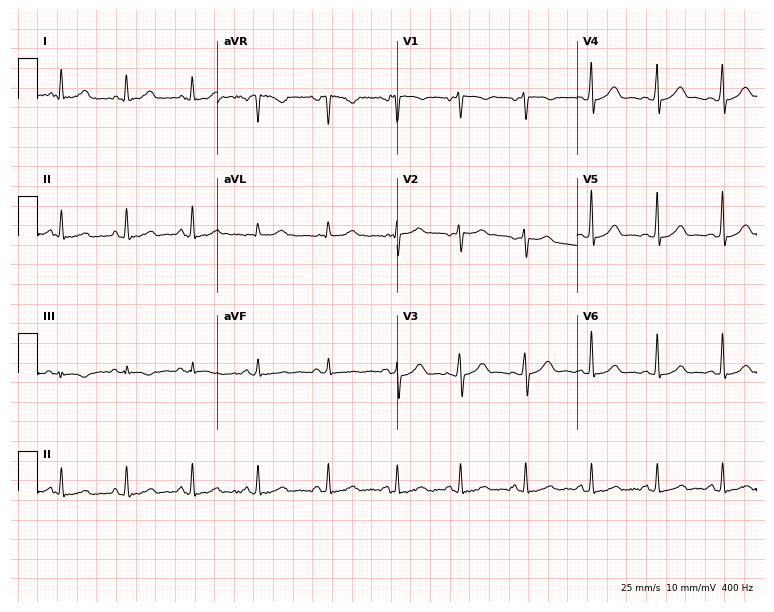
12-lead ECG from a female, 45 years old. Screened for six findings — first-degree AV block, right bundle branch block (RBBB), left bundle branch block (LBBB), sinus bradycardia, atrial fibrillation (AF), sinus tachycardia — none is recorded.